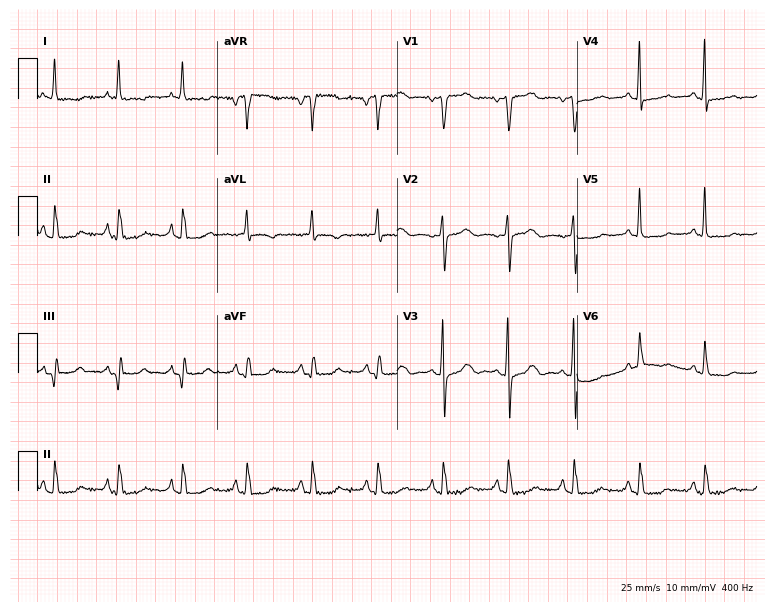
Electrocardiogram, a woman, 77 years old. Of the six screened findings (first-degree AV block, right bundle branch block (RBBB), left bundle branch block (LBBB), sinus bradycardia, atrial fibrillation (AF), sinus tachycardia), none is recorded.